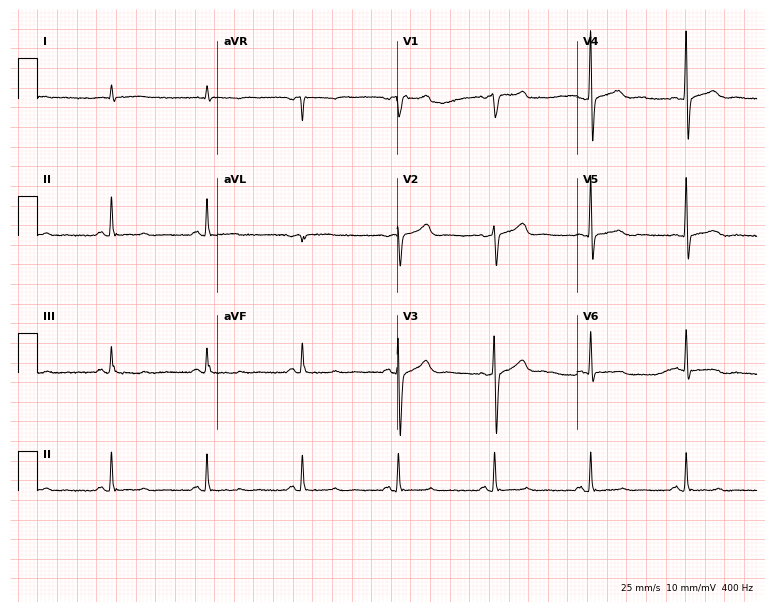
Electrocardiogram, a male patient, 59 years old. Overall reading on record: normal ECG.